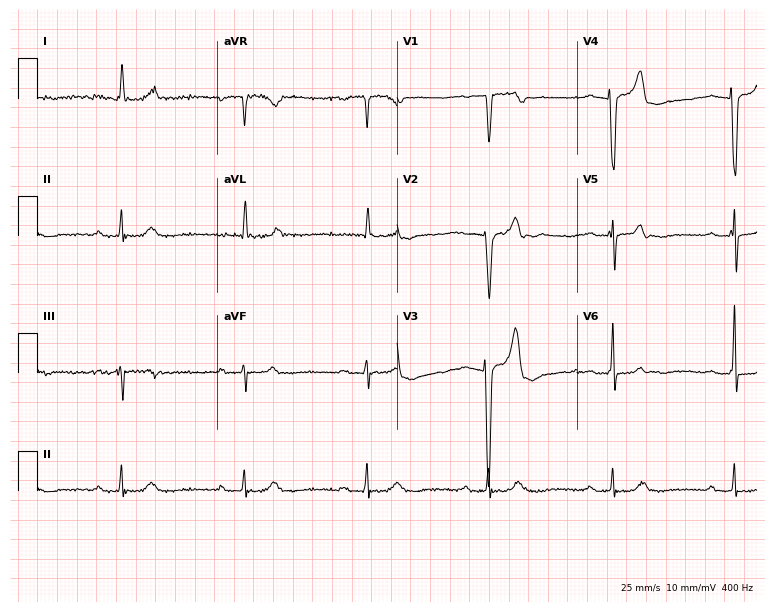
Resting 12-lead electrocardiogram. Patient: a 69-year-old male. The tracing shows first-degree AV block, right bundle branch block.